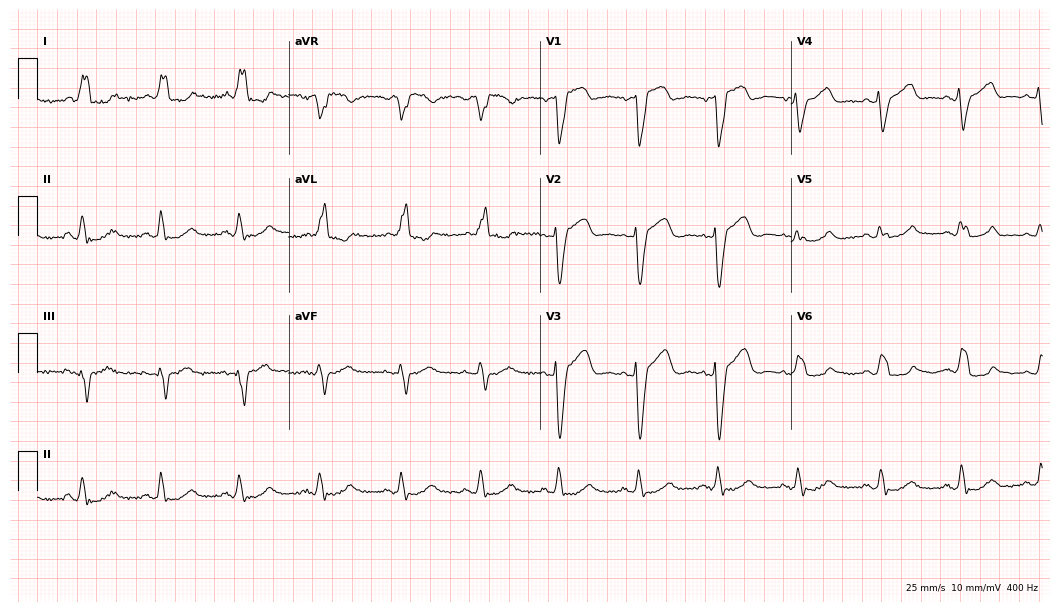
Standard 12-lead ECG recorded from a female, 79 years old (10.2-second recording at 400 Hz). The tracing shows left bundle branch block.